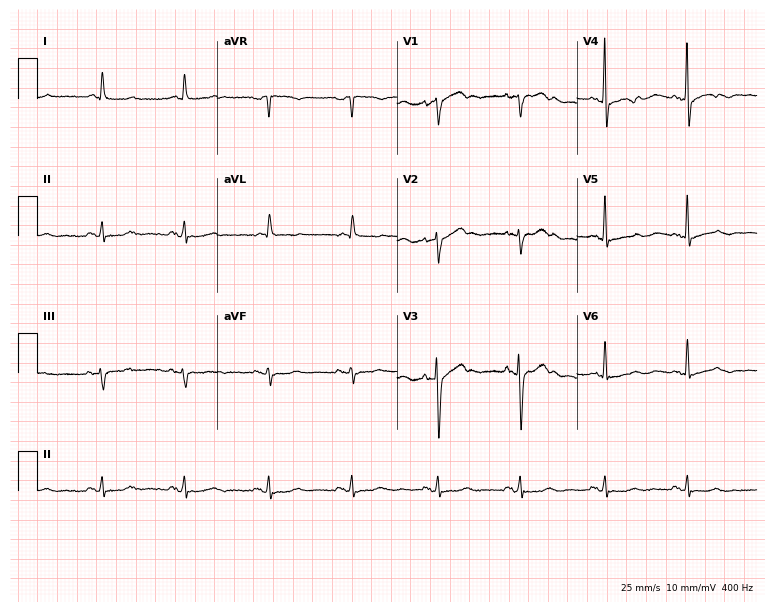
12-lead ECG (7.3-second recording at 400 Hz) from a 79-year-old female patient. Screened for six findings — first-degree AV block, right bundle branch block (RBBB), left bundle branch block (LBBB), sinus bradycardia, atrial fibrillation (AF), sinus tachycardia — none is recorded.